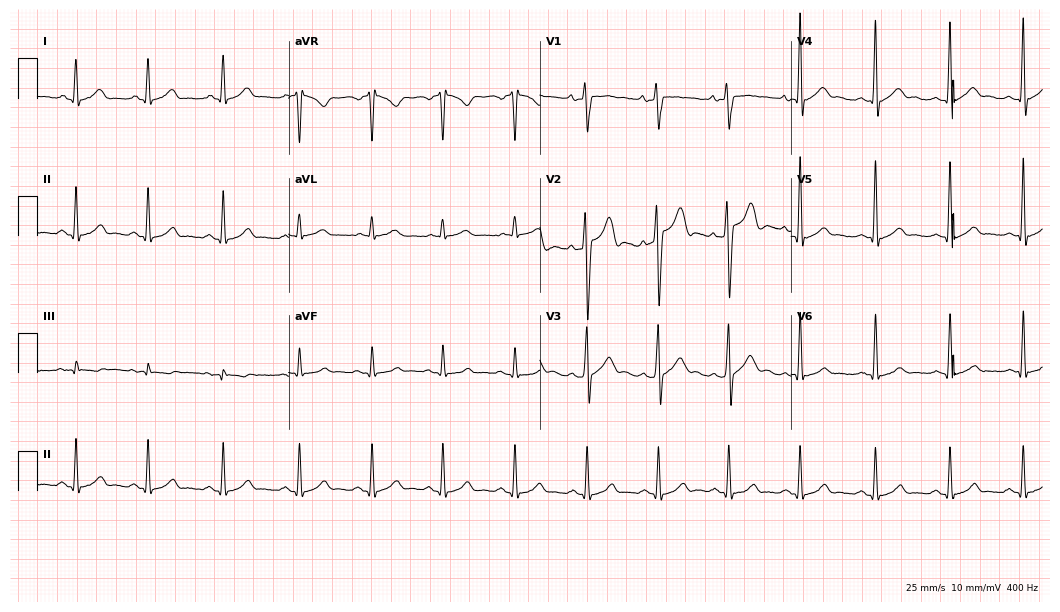
Electrocardiogram (10.2-second recording at 400 Hz), a 22-year-old man. Overall reading on record: normal ECG.